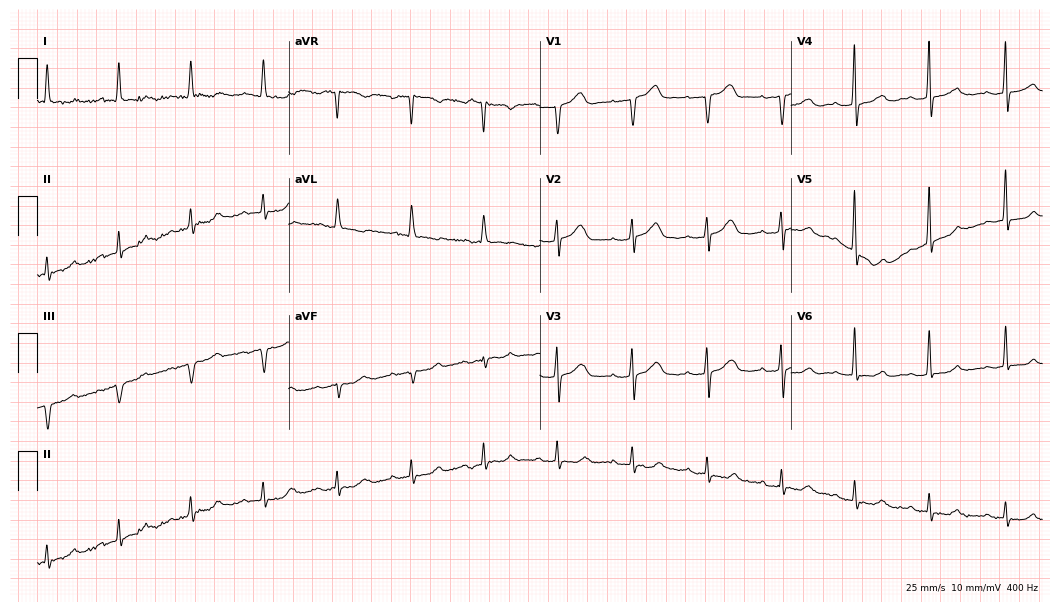
Standard 12-lead ECG recorded from a 69-year-old female patient. The tracing shows first-degree AV block.